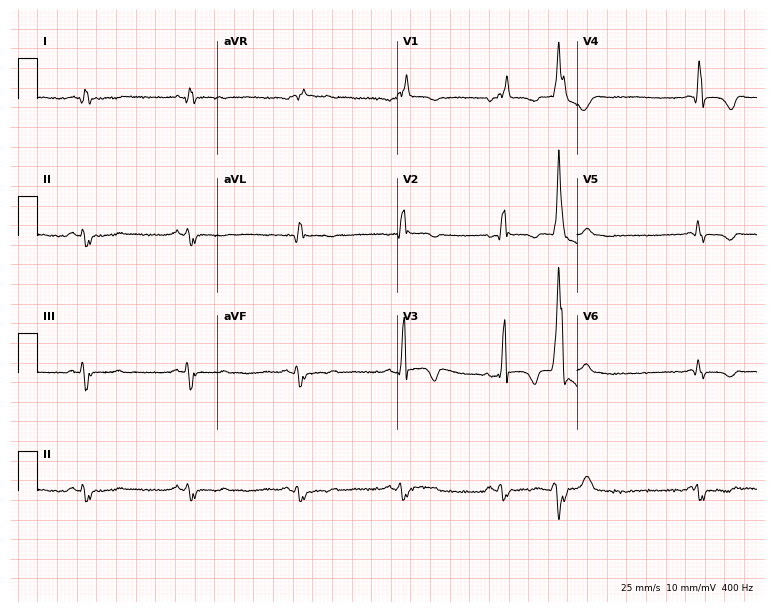
ECG — a man, 55 years old. Findings include right bundle branch block.